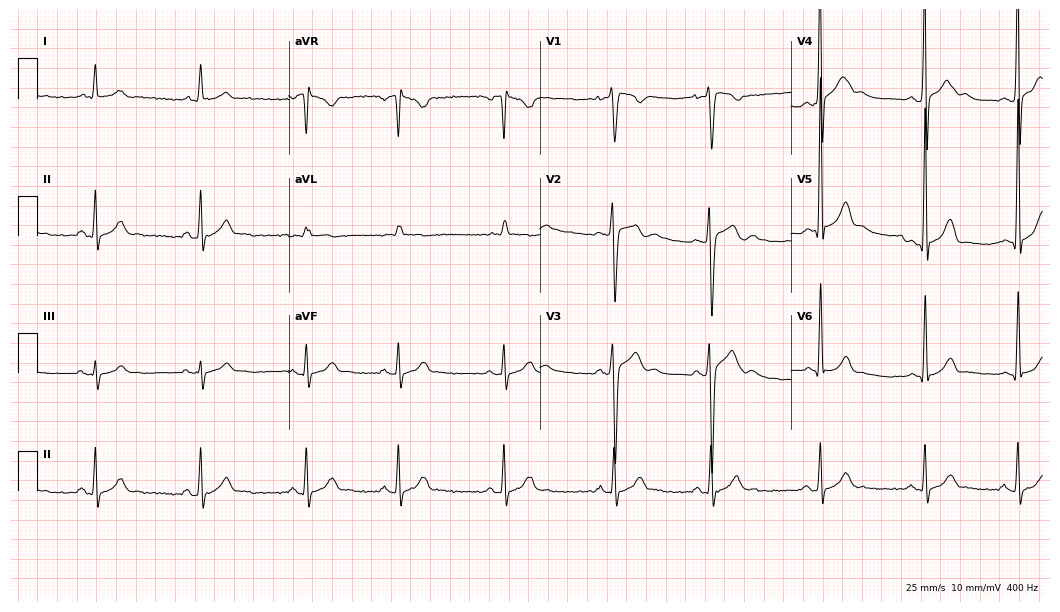
ECG — a man, 18 years old. Labelled as a normal ECG.